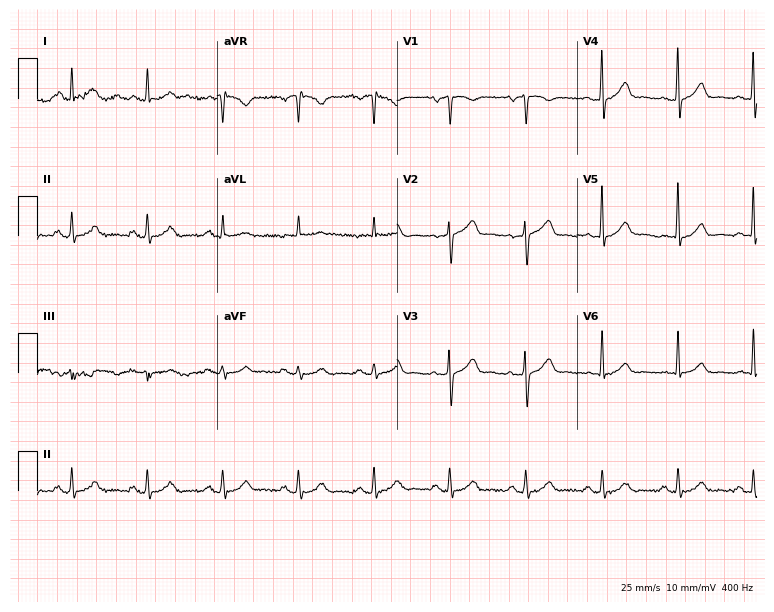
Resting 12-lead electrocardiogram. Patient: an 81-year-old male. Read as a normal ECG.